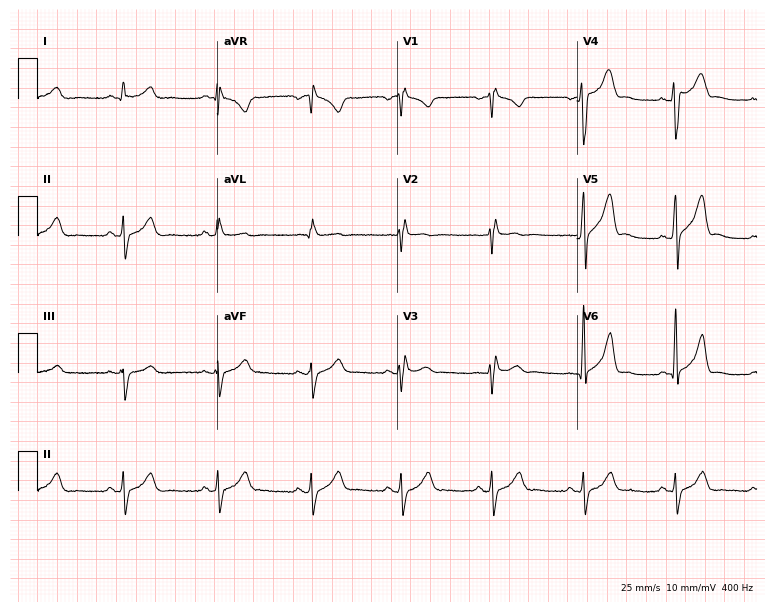
12-lead ECG from a male patient, 47 years old (7.3-second recording at 400 Hz). No first-degree AV block, right bundle branch block, left bundle branch block, sinus bradycardia, atrial fibrillation or sinus tachycardia recorded for this tracing.